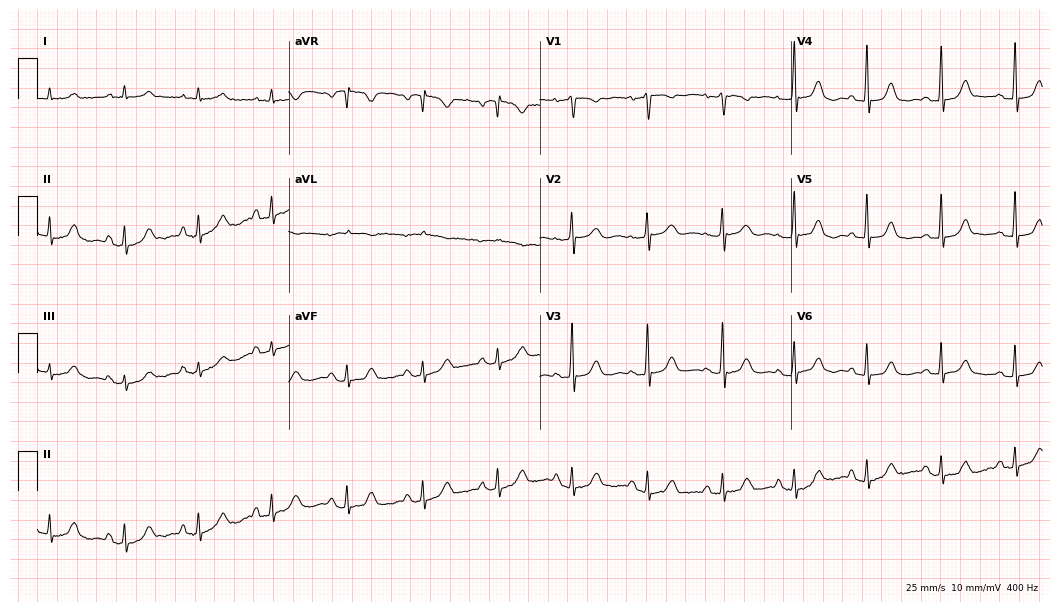
12-lead ECG (10.2-second recording at 400 Hz) from a 76-year-old female patient. Labelled as a normal ECG.